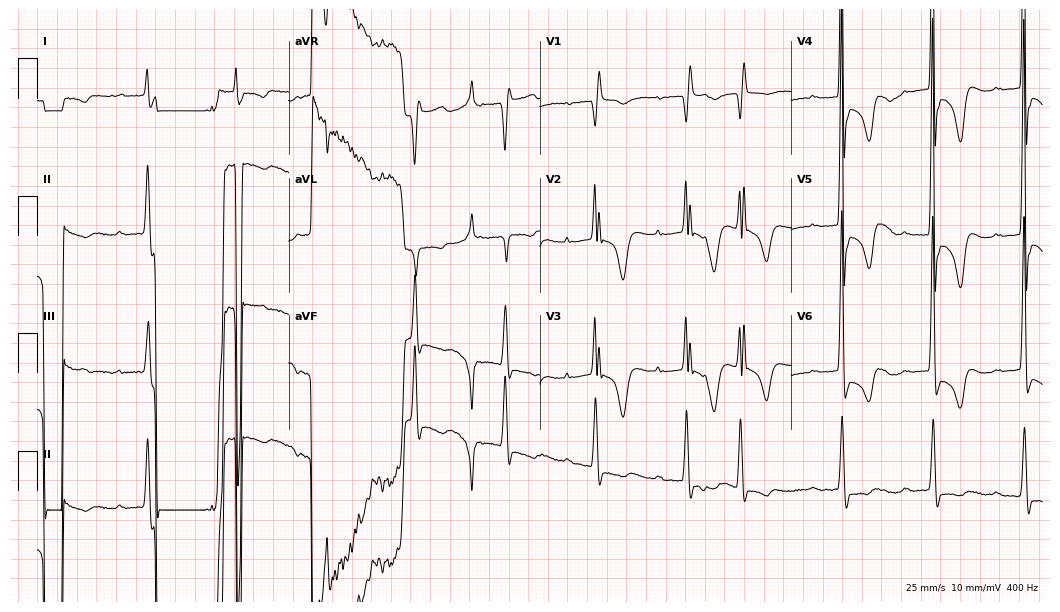
12-lead ECG from a male patient, 81 years old. Shows right bundle branch block.